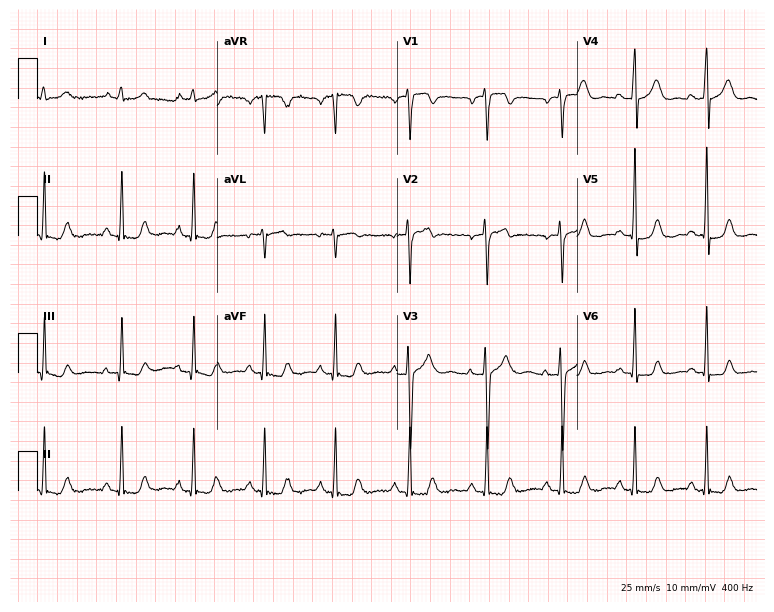
Resting 12-lead electrocardiogram. Patient: a 34-year-old female. None of these six findings is recorded: first-degree AV block, right bundle branch block, left bundle branch block, sinus bradycardia, atrial fibrillation, sinus tachycardia.